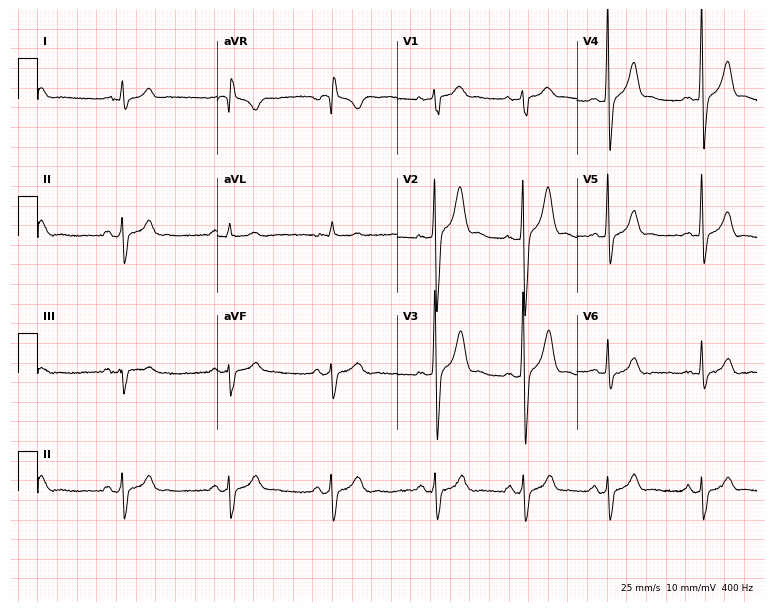
12-lead ECG from a 28-year-old male. No first-degree AV block, right bundle branch block (RBBB), left bundle branch block (LBBB), sinus bradycardia, atrial fibrillation (AF) or sinus tachycardia recorded for this tracing.